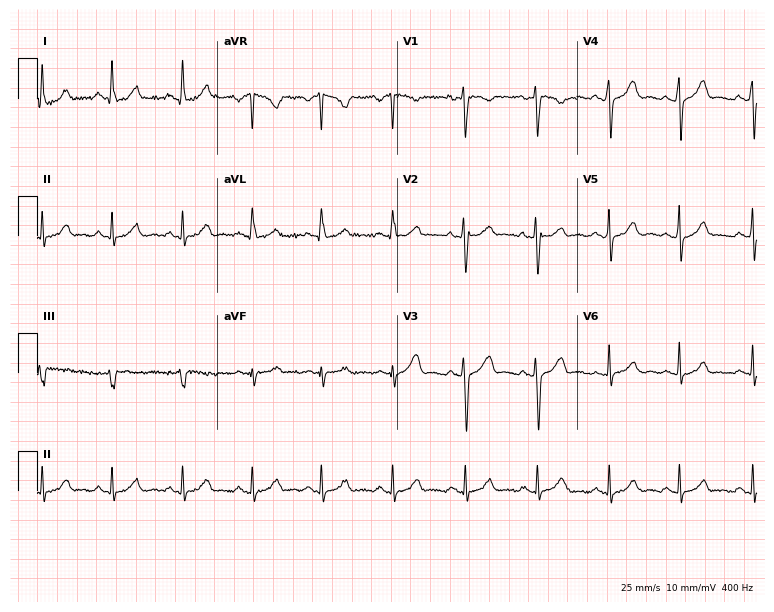
12-lead ECG from a female patient, 34 years old (7.3-second recording at 400 Hz). No first-degree AV block, right bundle branch block, left bundle branch block, sinus bradycardia, atrial fibrillation or sinus tachycardia recorded for this tracing. Findings outside these six are not listed.